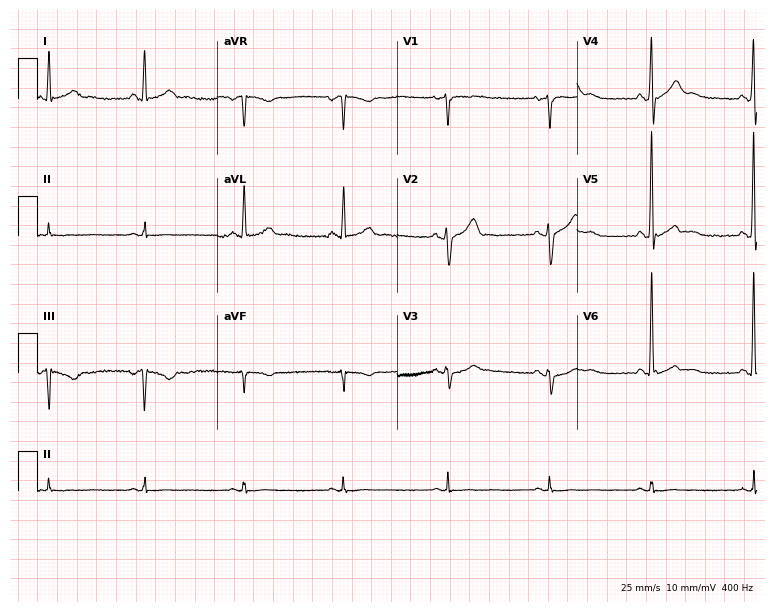
12-lead ECG (7.3-second recording at 400 Hz) from a man, 59 years old. Screened for six findings — first-degree AV block, right bundle branch block (RBBB), left bundle branch block (LBBB), sinus bradycardia, atrial fibrillation (AF), sinus tachycardia — none is recorded.